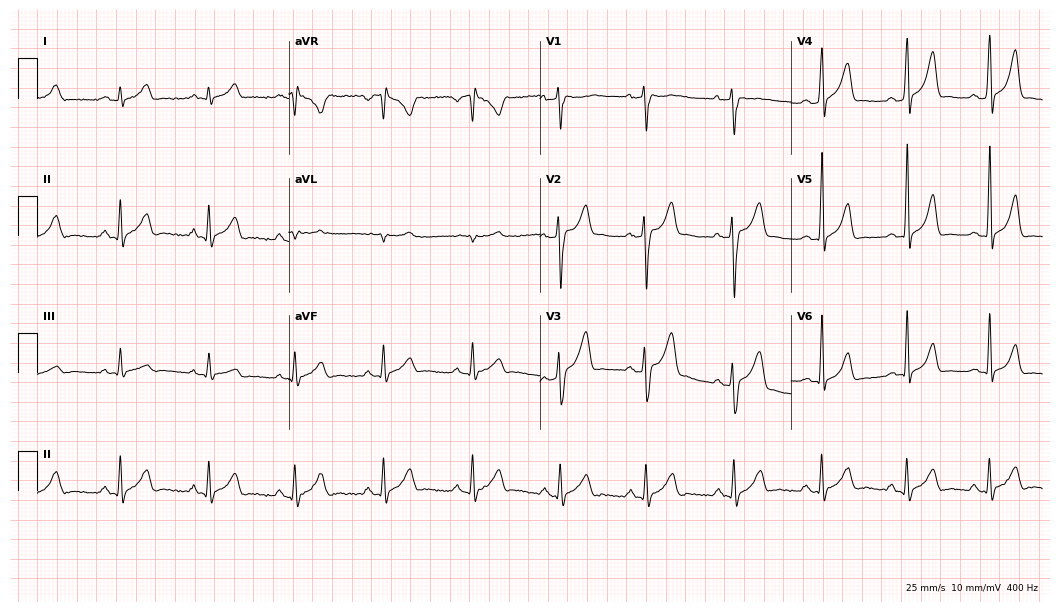
Resting 12-lead electrocardiogram. Patient: a 26-year-old male. Read as a normal ECG.